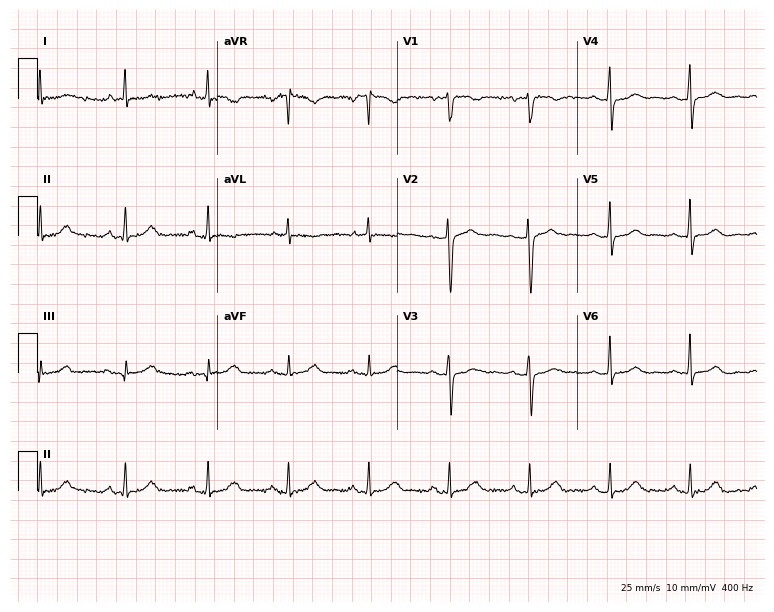
ECG (7.3-second recording at 400 Hz) — a female patient, 70 years old. Screened for six findings — first-degree AV block, right bundle branch block (RBBB), left bundle branch block (LBBB), sinus bradycardia, atrial fibrillation (AF), sinus tachycardia — none is recorded. Other findings, if any, are not listed.